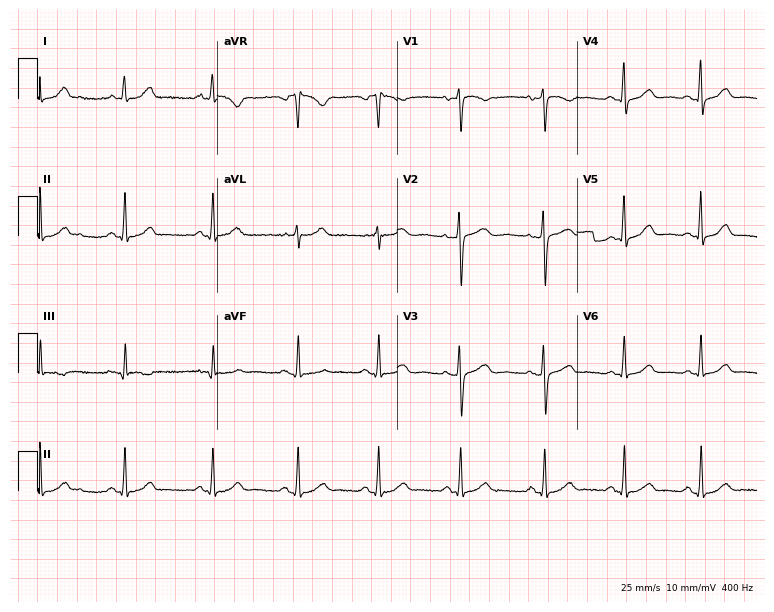
12-lead ECG from a female patient, 46 years old (7.3-second recording at 400 Hz). No first-degree AV block, right bundle branch block (RBBB), left bundle branch block (LBBB), sinus bradycardia, atrial fibrillation (AF) or sinus tachycardia recorded for this tracing.